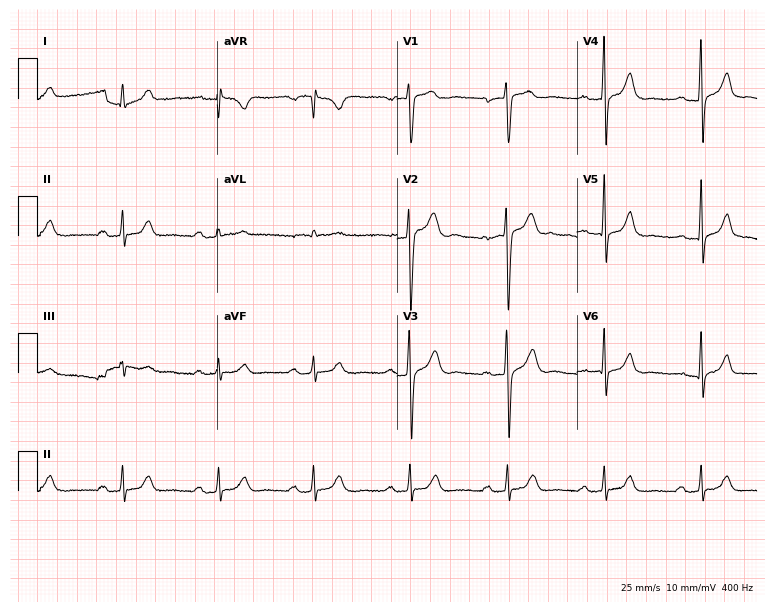
Electrocardiogram, a 49-year-old male patient. Of the six screened findings (first-degree AV block, right bundle branch block, left bundle branch block, sinus bradycardia, atrial fibrillation, sinus tachycardia), none is recorded. Findings outside these six are not listed.